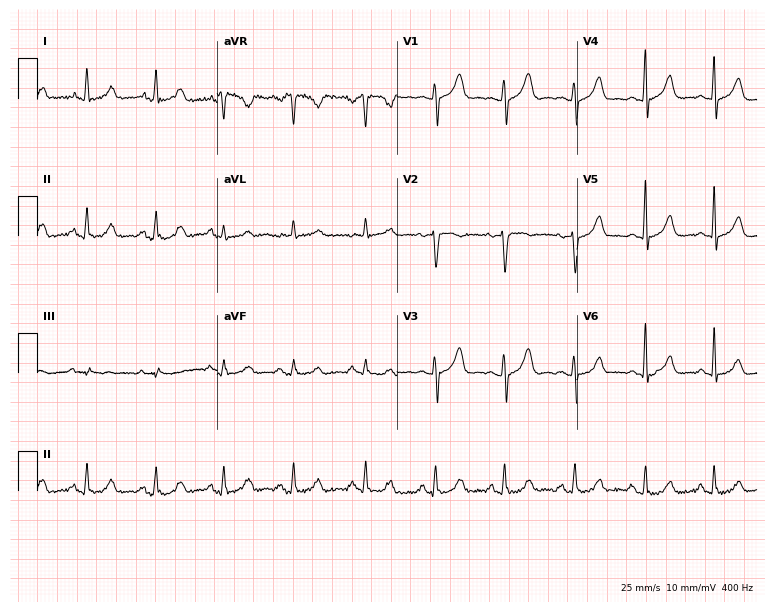
Electrocardiogram, a 52-year-old woman. Overall reading on record: normal ECG.